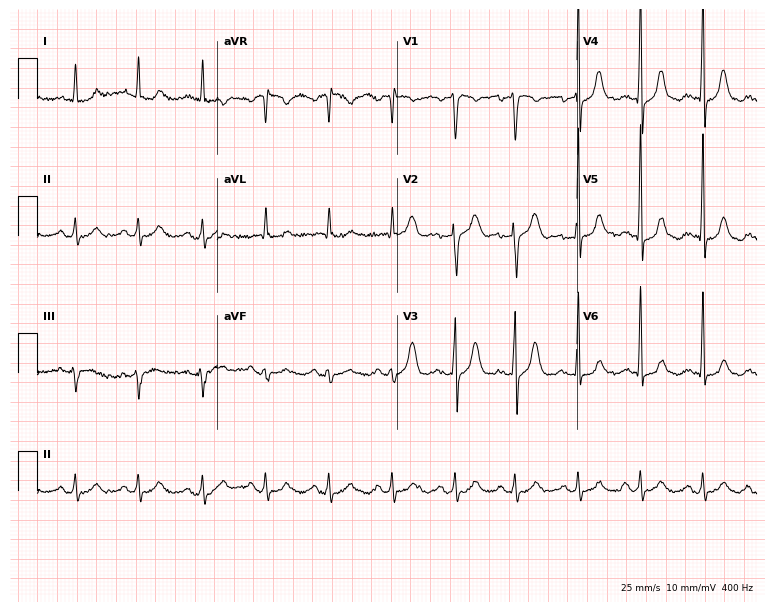
ECG (7.3-second recording at 400 Hz) — a man, 72 years old. Screened for six findings — first-degree AV block, right bundle branch block, left bundle branch block, sinus bradycardia, atrial fibrillation, sinus tachycardia — none is recorded.